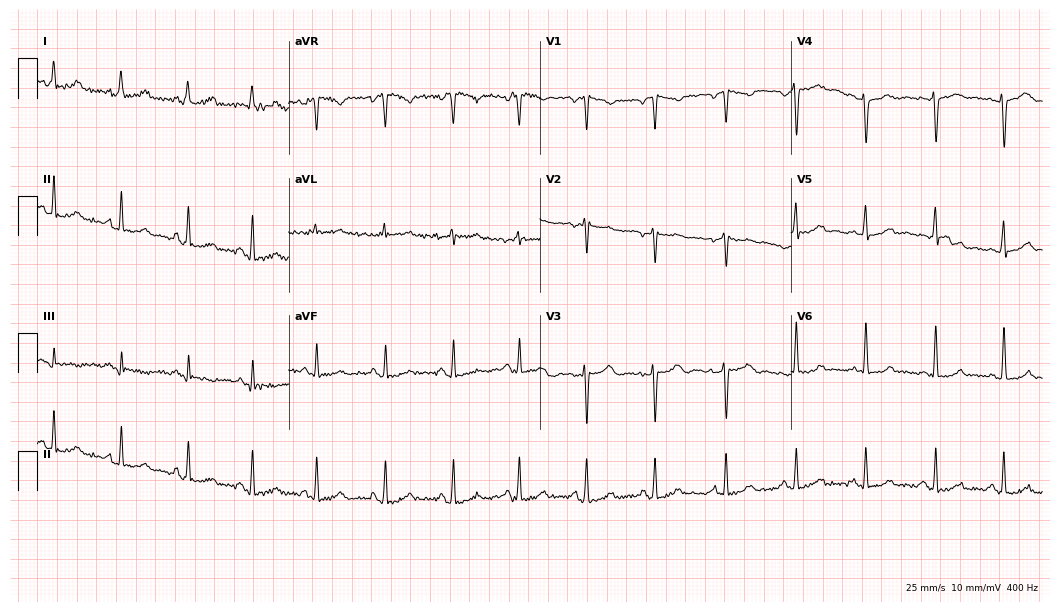
Resting 12-lead electrocardiogram (10.2-second recording at 400 Hz). Patient: a female, 35 years old. Read as a normal ECG.